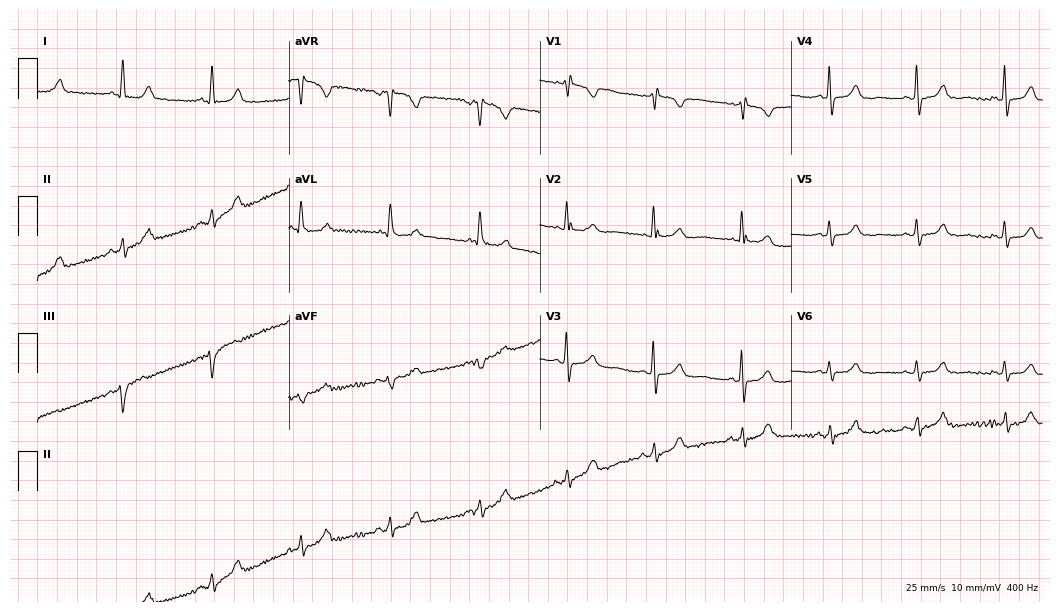
12-lead ECG from a female patient, 81 years old. No first-degree AV block, right bundle branch block, left bundle branch block, sinus bradycardia, atrial fibrillation or sinus tachycardia recorded for this tracing. Only these six findings were labelled.